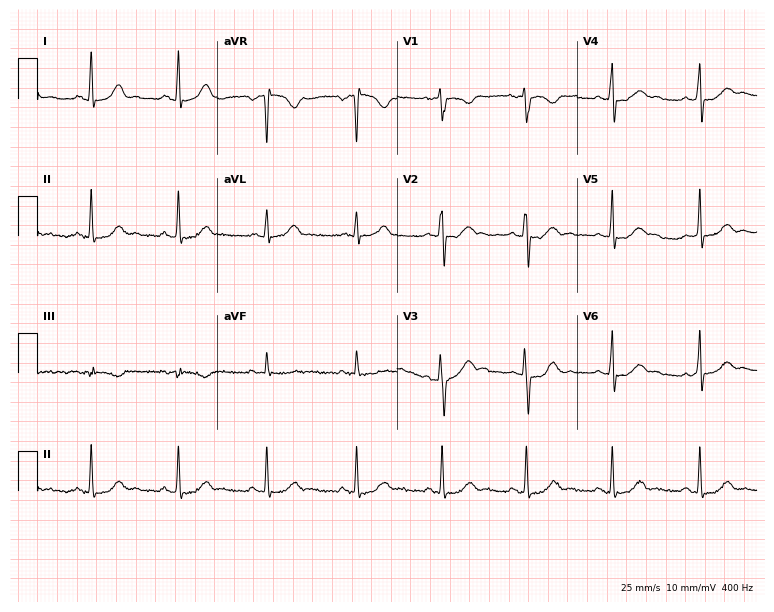
Standard 12-lead ECG recorded from a 35-year-old female (7.3-second recording at 400 Hz). Read as a normal ECG.